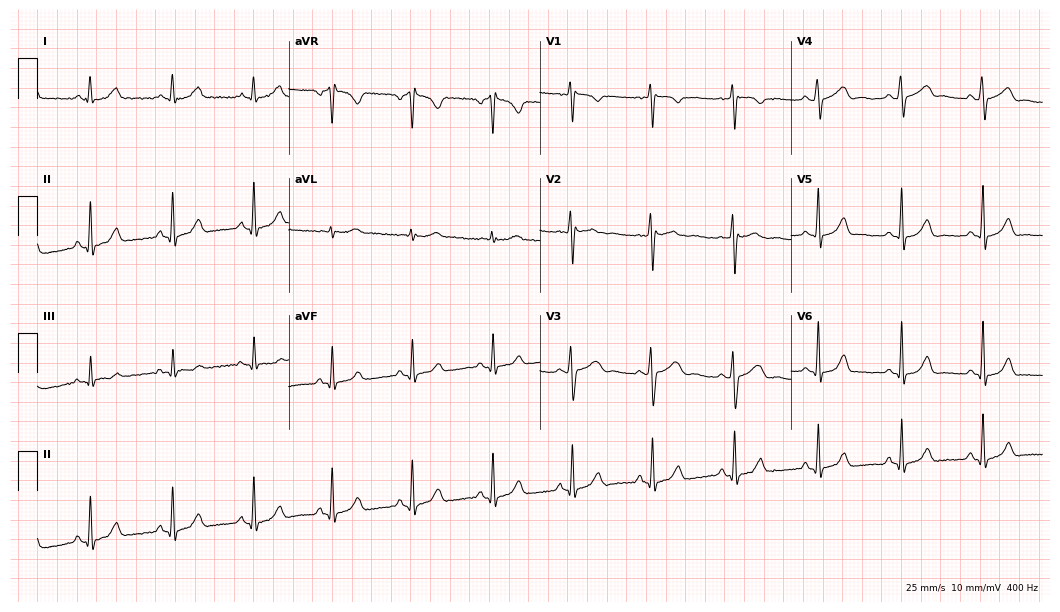
Resting 12-lead electrocardiogram (10.2-second recording at 400 Hz). Patient: a 32-year-old female. None of these six findings is recorded: first-degree AV block, right bundle branch block (RBBB), left bundle branch block (LBBB), sinus bradycardia, atrial fibrillation (AF), sinus tachycardia.